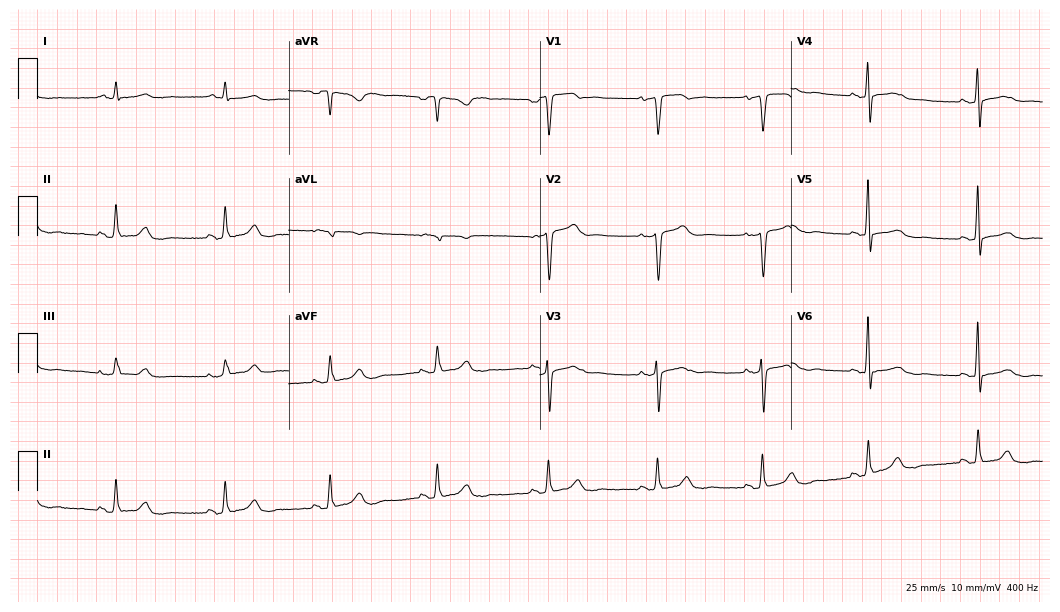
12-lead ECG from a 48-year-old female patient. Recorded interpretation: within normal limits.